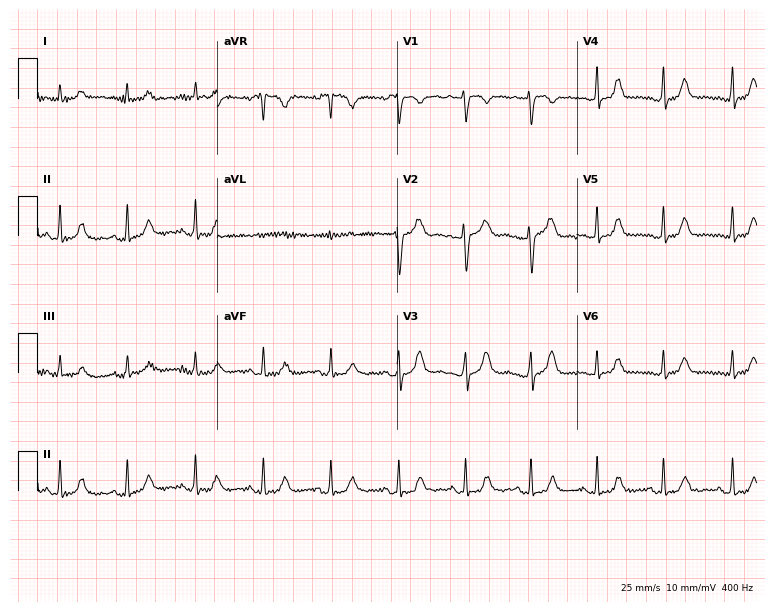
Resting 12-lead electrocardiogram. Patient: a 43-year-old woman. Read as a normal ECG.